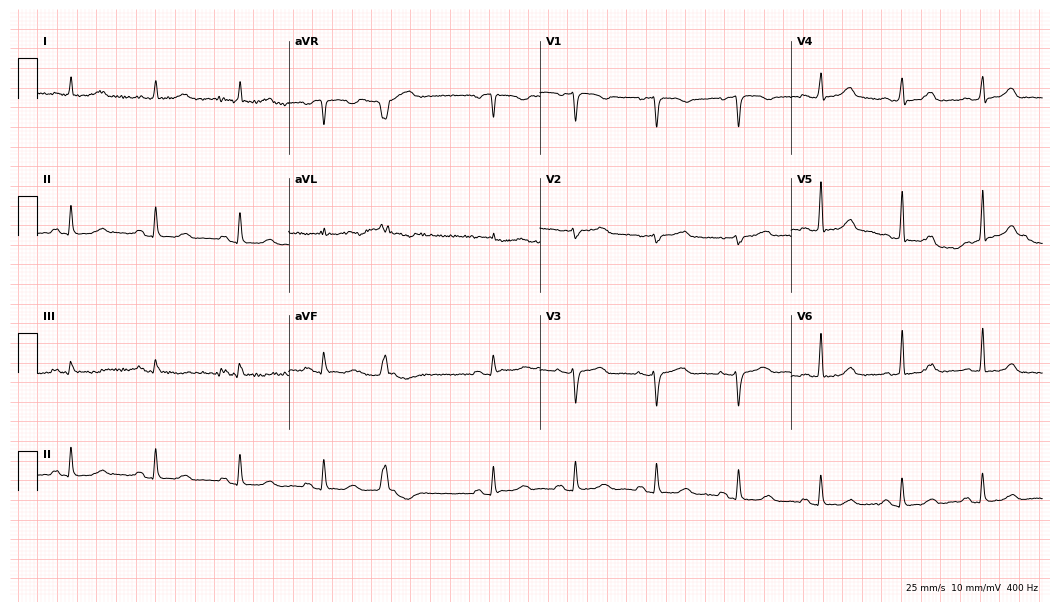
Electrocardiogram, a female patient, 71 years old. Of the six screened findings (first-degree AV block, right bundle branch block, left bundle branch block, sinus bradycardia, atrial fibrillation, sinus tachycardia), none is recorded. Findings outside these six are not listed.